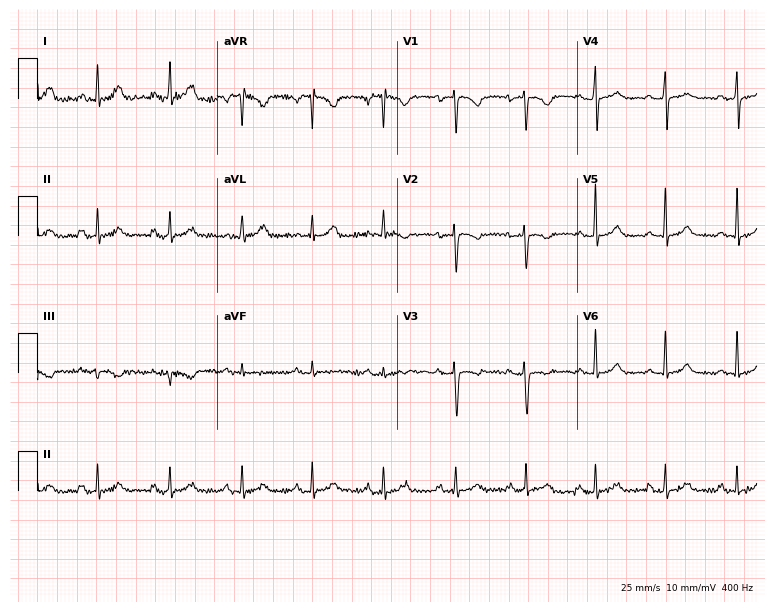
Electrocardiogram, a woman, 31 years old. Of the six screened findings (first-degree AV block, right bundle branch block, left bundle branch block, sinus bradycardia, atrial fibrillation, sinus tachycardia), none is recorded.